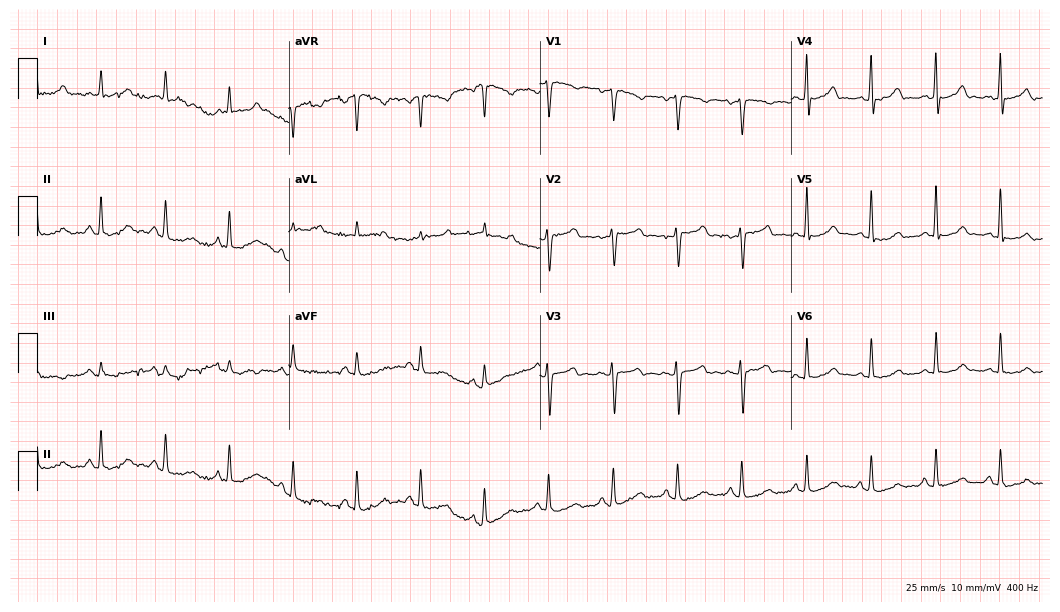
ECG (10.2-second recording at 400 Hz) — a 65-year-old woman. Labelled as a normal ECG.